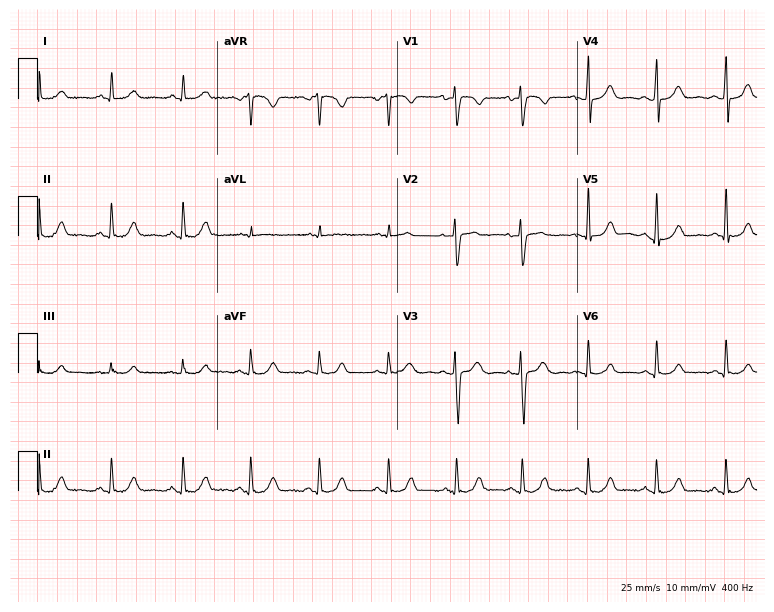
ECG — a female, 43 years old. Screened for six findings — first-degree AV block, right bundle branch block, left bundle branch block, sinus bradycardia, atrial fibrillation, sinus tachycardia — none is recorded. Other findings, if any, are not listed.